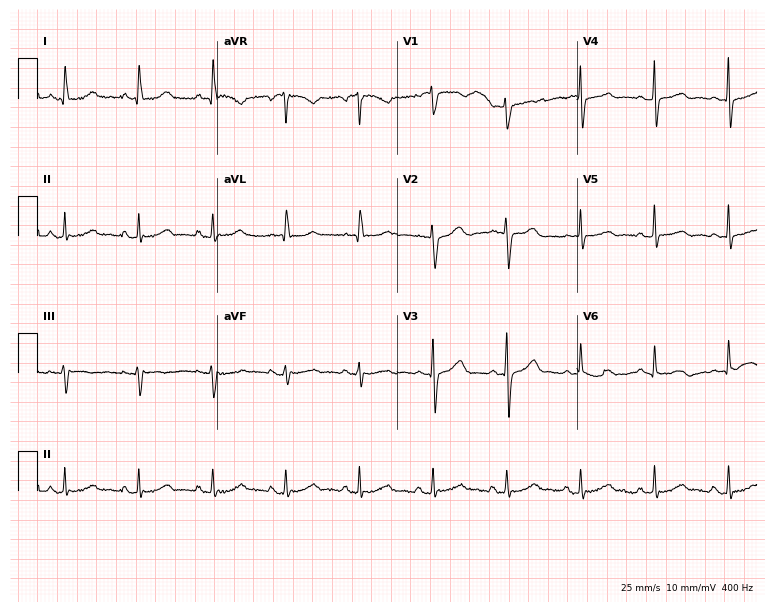
ECG — a female patient, 84 years old. Labelled as a normal ECG.